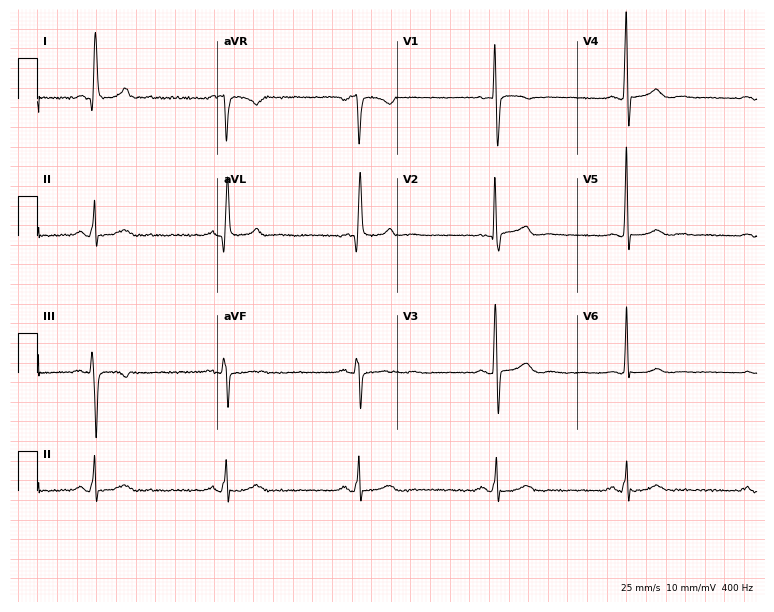
12-lead ECG from a woman, 65 years old (7.3-second recording at 400 Hz). No first-degree AV block, right bundle branch block (RBBB), left bundle branch block (LBBB), sinus bradycardia, atrial fibrillation (AF) or sinus tachycardia recorded for this tracing. Only these six findings were labelled.